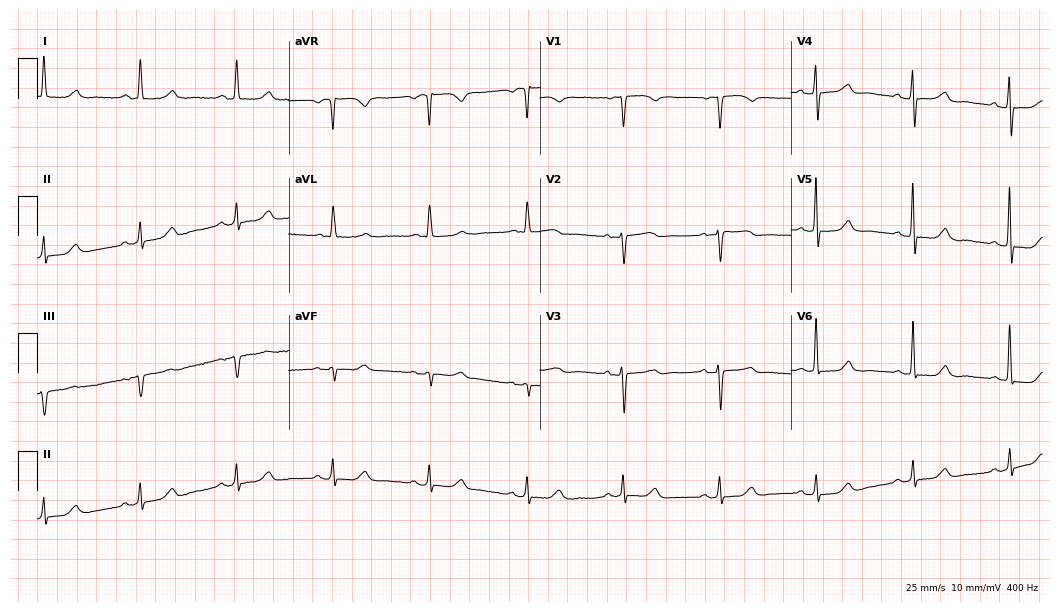
Resting 12-lead electrocardiogram. Patient: a woman, 80 years old. Read as a normal ECG.